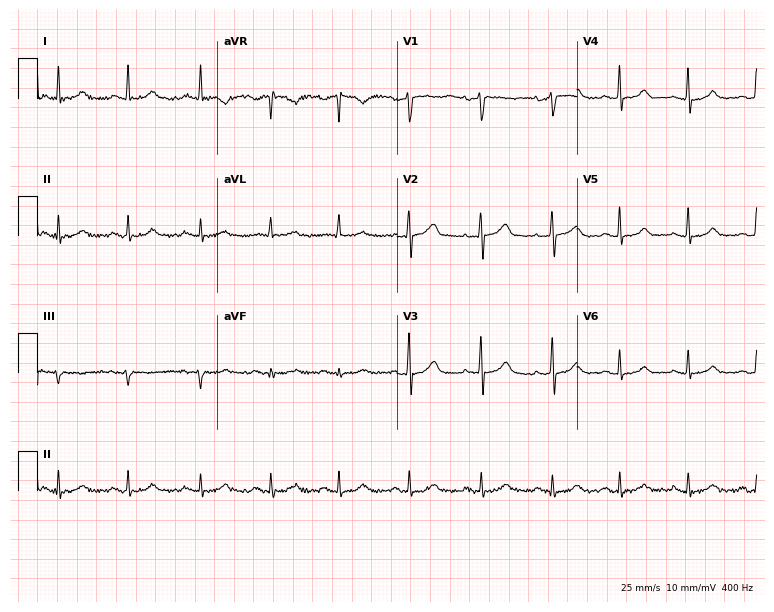
12-lead ECG (7.3-second recording at 400 Hz) from a 49-year-old female patient. Screened for six findings — first-degree AV block, right bundle branch block (RBBB), left bundle branch block (LBBB), sinus bradycardia, atrial fibrillation (AF), sinus tachycardia — none is recorded. Other findings, if any, are not listed.